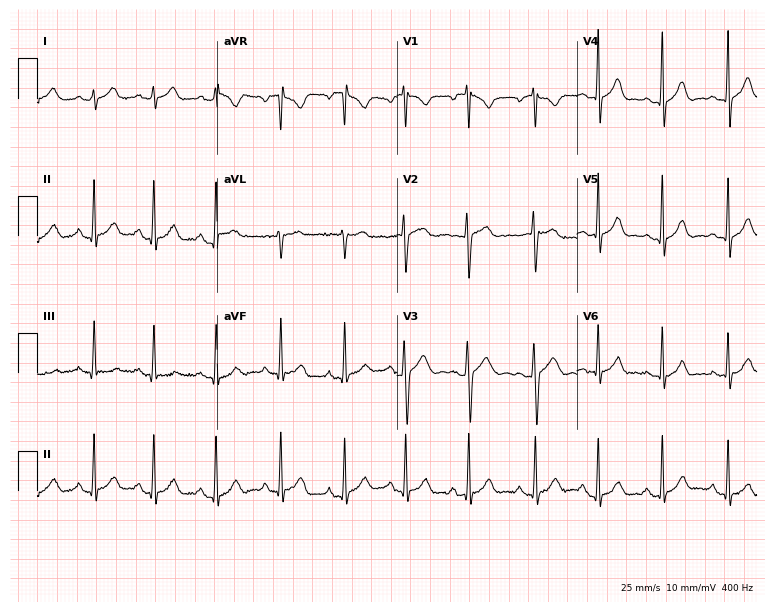
12-lead ECG from a female, 19 years old. No first-degree AV block, right bundle branch block, left bundle branch block, sinus bradycardia, atrial fibrillation or sinus tachycardia recorded for this tracing.